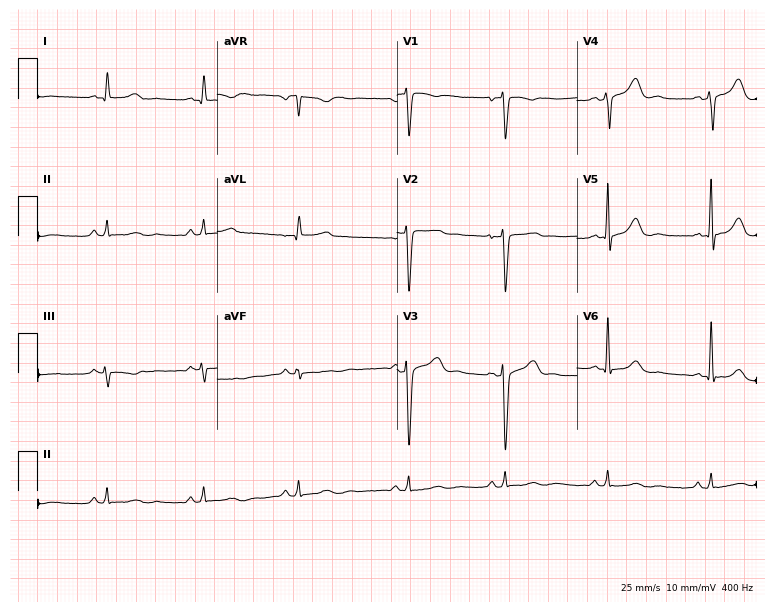
Resting 12-lead electrocardiogram (7.3-second recording at 400 Hz). Patient: a 44-year-old female. None of these six findings is recorded: first-degree AV block, right bundle branch block, left bundle branch block, sinus bradycardia, atrial fibrillation, sinus tachycardia. Only these six findings were labelled.